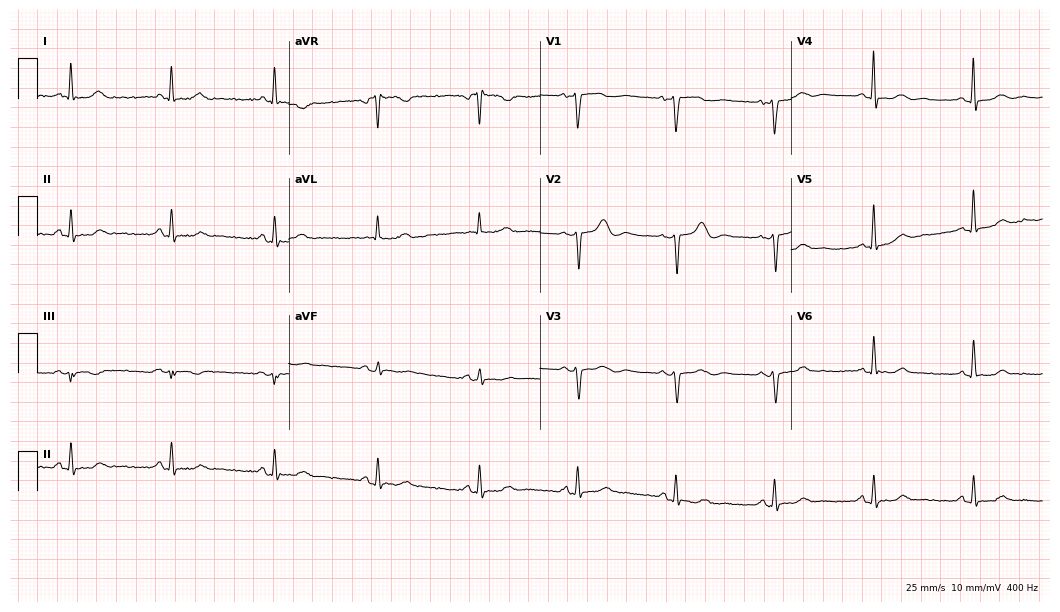
Standard 12-lead ECG recorded from a female patient, 81 years old. None of these six findings is recorded: first-degree AV block, right bundle branch block (RBBB), left bundle branch block (LBBB), sinus bradycardia, atrial fibrillation (AF), sinus tachycardia.